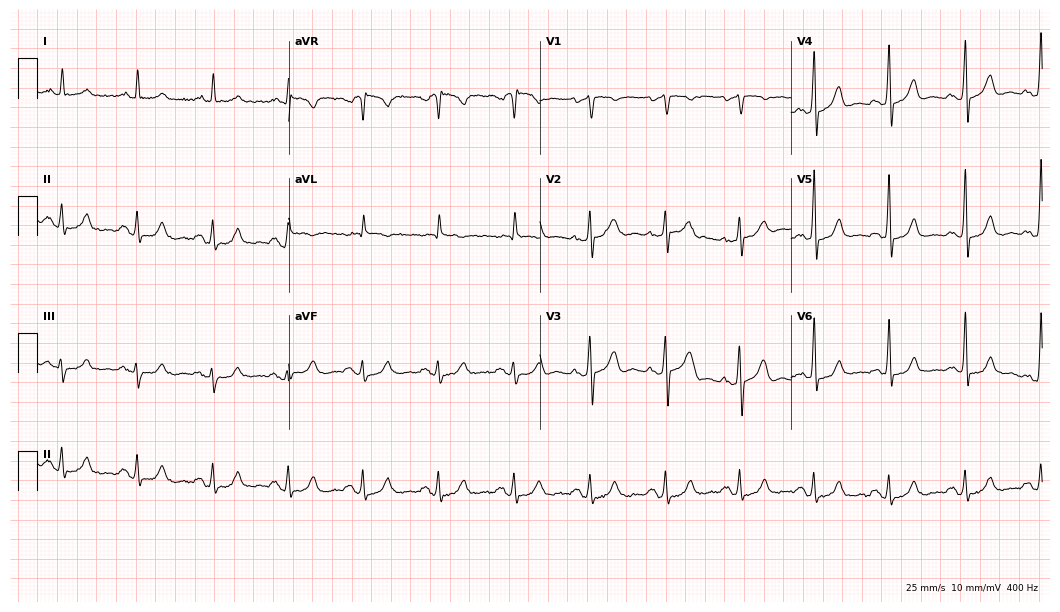
Standard 12-lead ECG recorded from a male patient, 59 years old (10.2-second recording at 400 Hz). Read as a normal ECG.